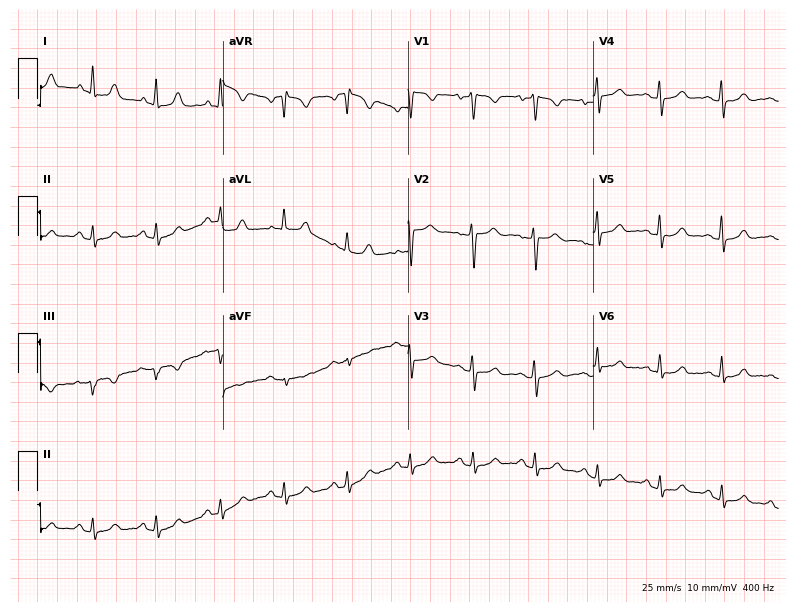
Standard 12-lead ECG recorded from a female patient, 44 years old (7.6-second recording at 400 Hz). None of these six findings is recorded: first-degree AV block, right bundle branch block (RBBB), left bundle branch block (LBBB), sinus bradycardia, atrial fibrillation (AF), sinus tachycardia. Findings outside these six are not listed.